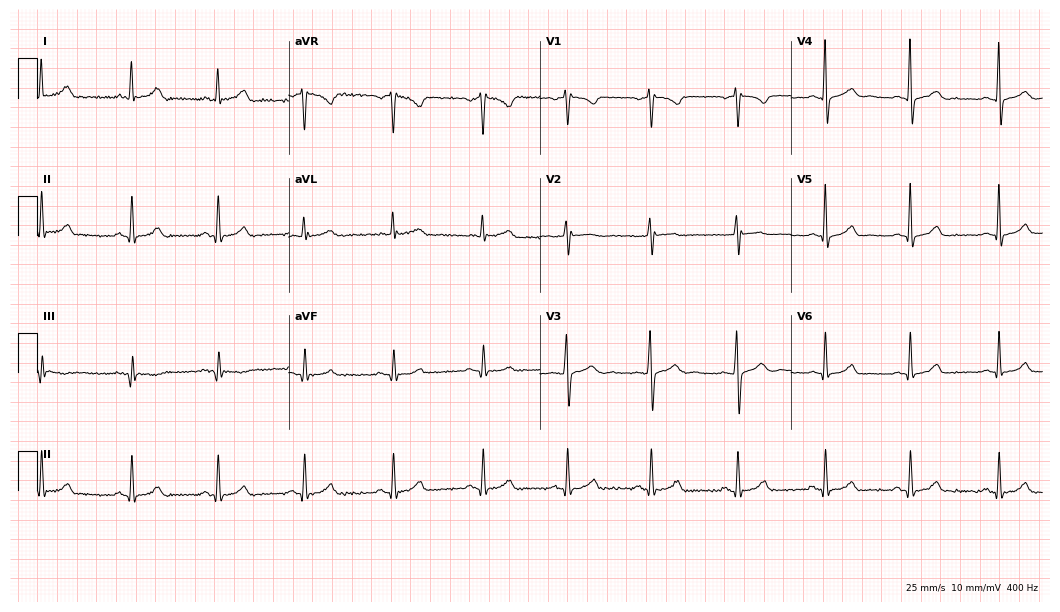
Electrocardiogram (10.2-second recording at 400 Hz), a female, 28 years old. Overall reading on record: normal ECG.